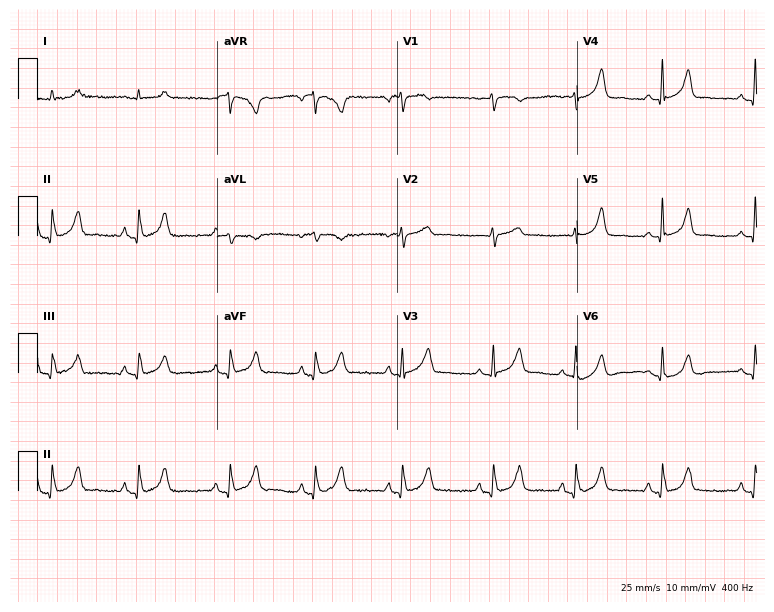
12-lead ECG from a woman, 67 years old. Labelled as a normal ECG.